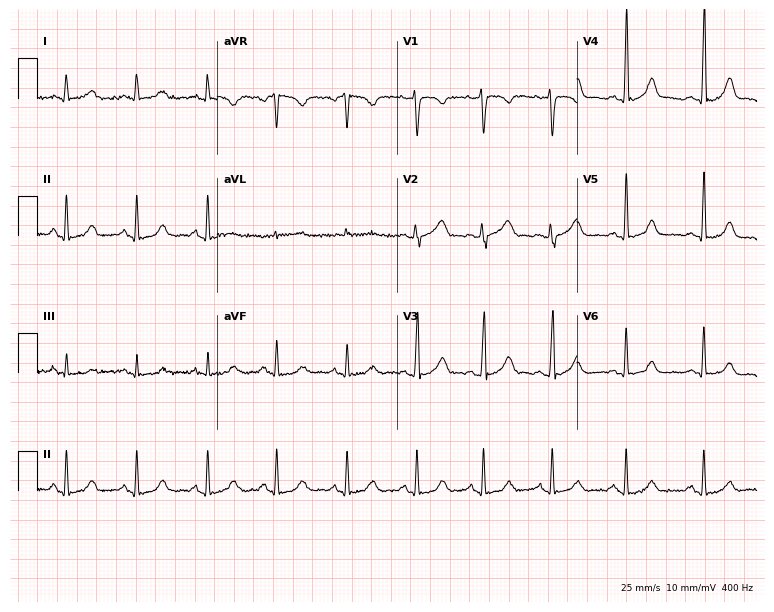
12-lead ECG from a 22-year-old female. Labelled as a normal ECG.